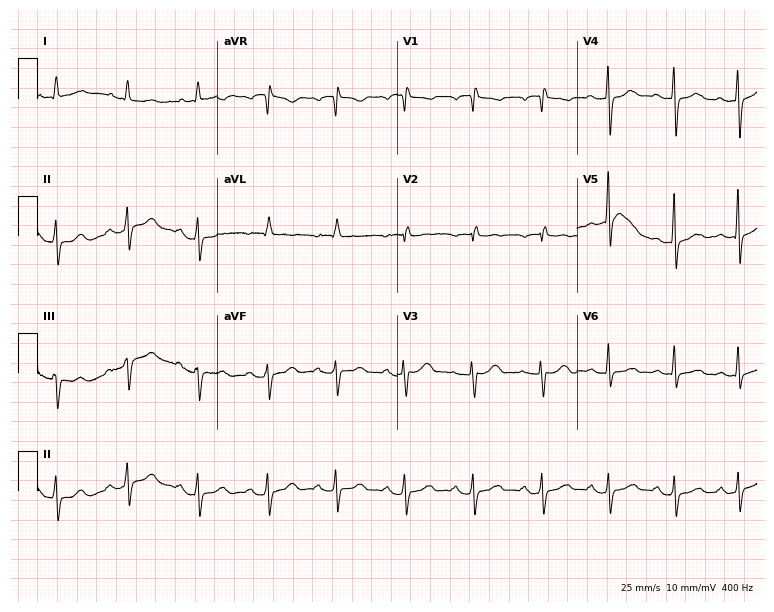
Standard 12-lead ECG recorded from a woman, 57 years old. None of these six findings is recorded: first-degree AV block, right bundle branch block (RBBB), left bundle branch block (LBBB), sinus bradycardia, atrial fibrillation (AF), sinus tachycardia.